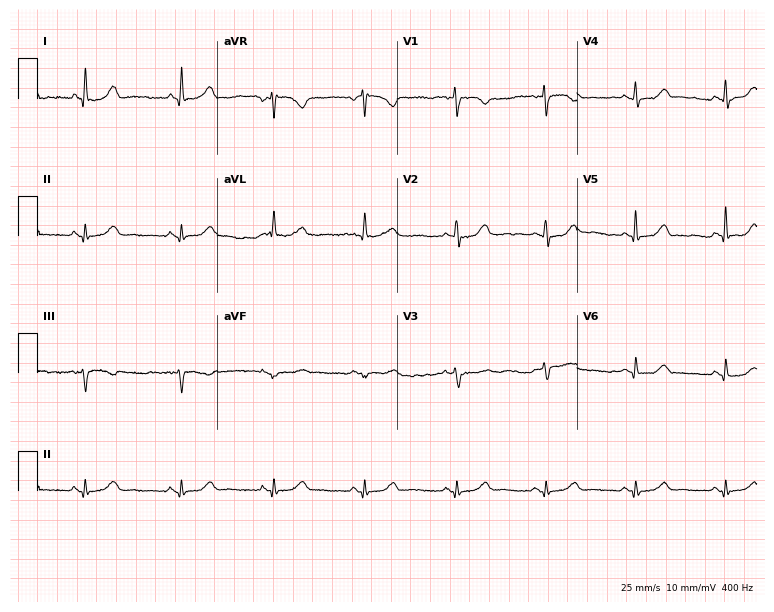
12-lead ECG (7.3-second recording at 400 Hz) from a woman, 54 years old. Labelled as a normal ECG.